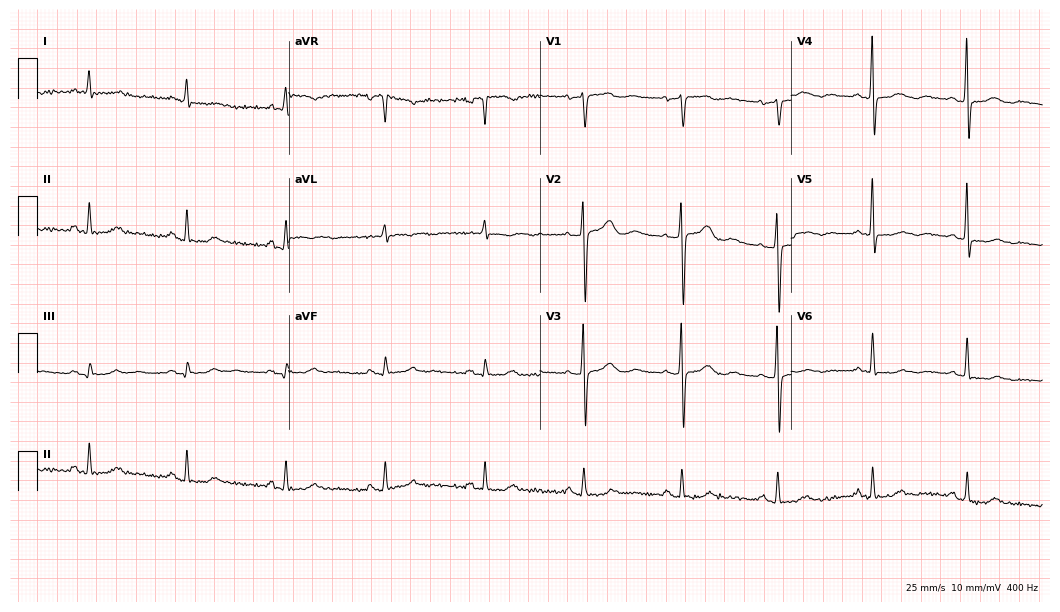
Electrocardiogram, a 58-year-old female patient. Of the six screened findings (first-degree AV block, right bundle branch block, left bundle branch block, sinus bradycardia, atrial fibrillation, sinus tachycardia), none is recorded. Findings outside these six are not listed.